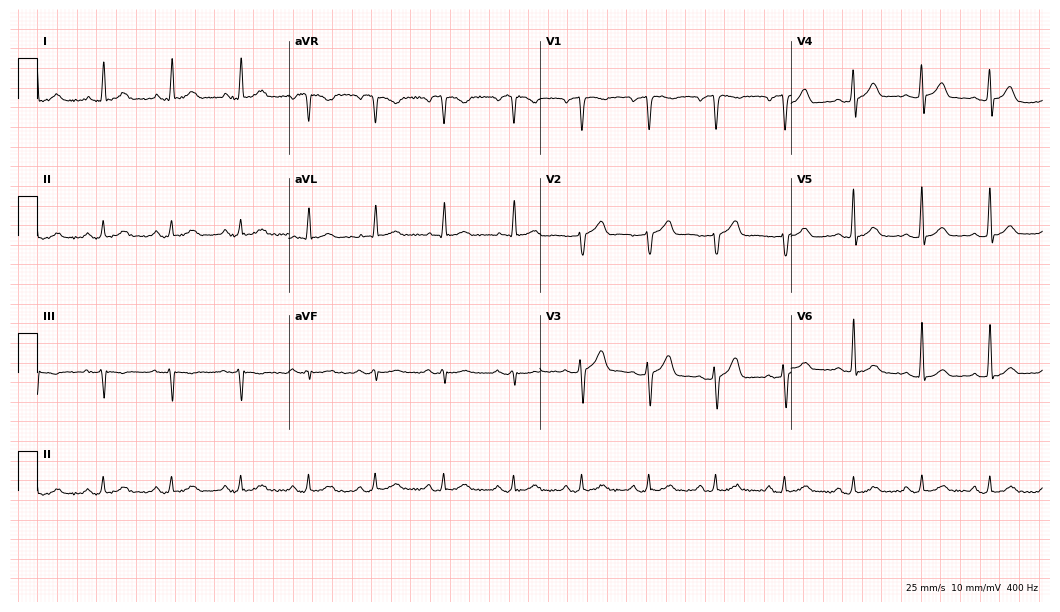
Standard 12-lead ECG recorded from a male, 58 years old. Read as a normal ECG.